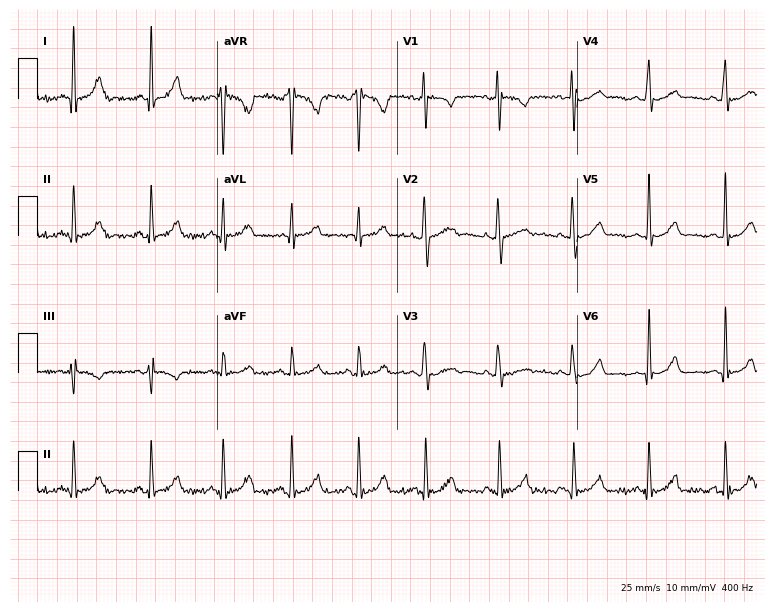
Standard 12-lead ECG recorded from a female, 19 years old (7.3-second recording at 400 Hz). Read as a normal ECG.